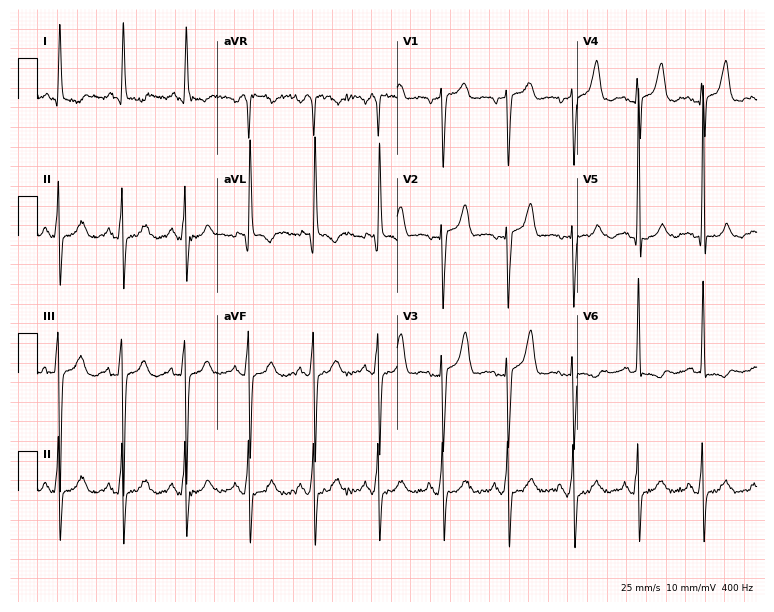
Electrocardiogram (7.3-second recording at 400 Hz), a 54-year-old female. Of the six screened findings (first-degree AV block, right bundle branch block, left bundle branch block, sinus bradycardia, atrial fibrillation, sinus tachycardia), none is recorded. Only these six findings were labelled.